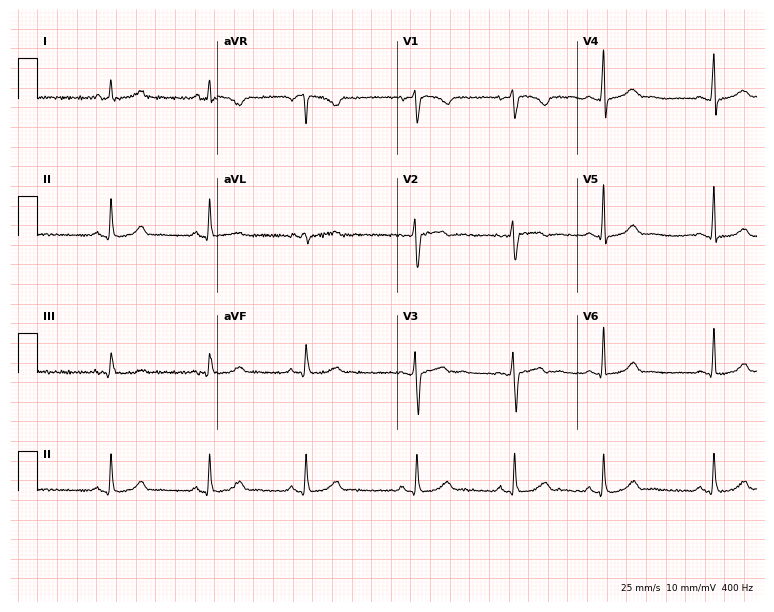
12-lead ECG from a 30-year-old female patient. Labelled as a normal ECG.